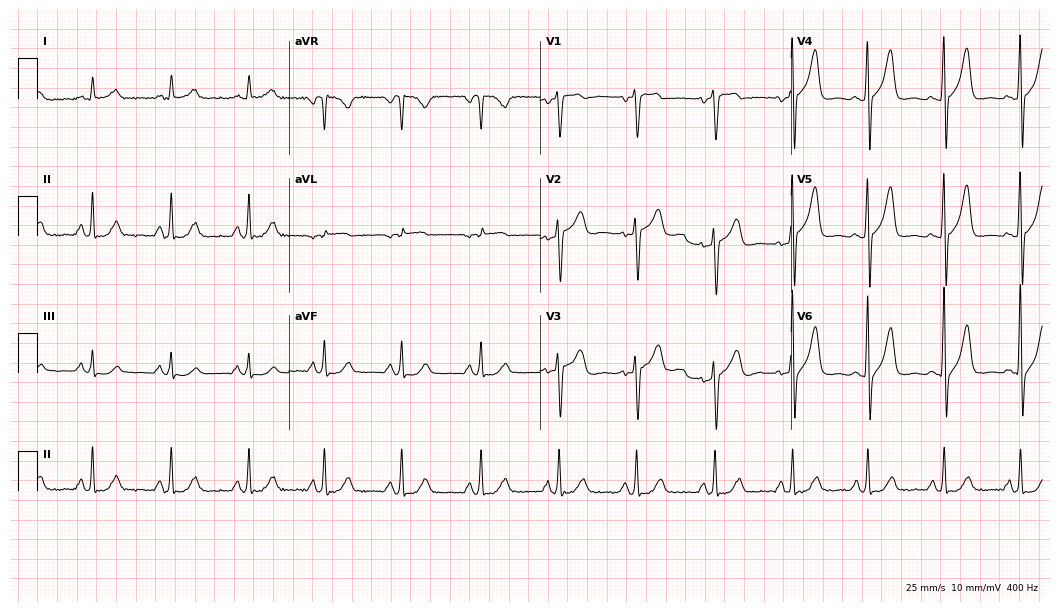
ECG (10.2-second recording at 400 Hz) — a man, 55 years old. Labelled as a normal ECG.